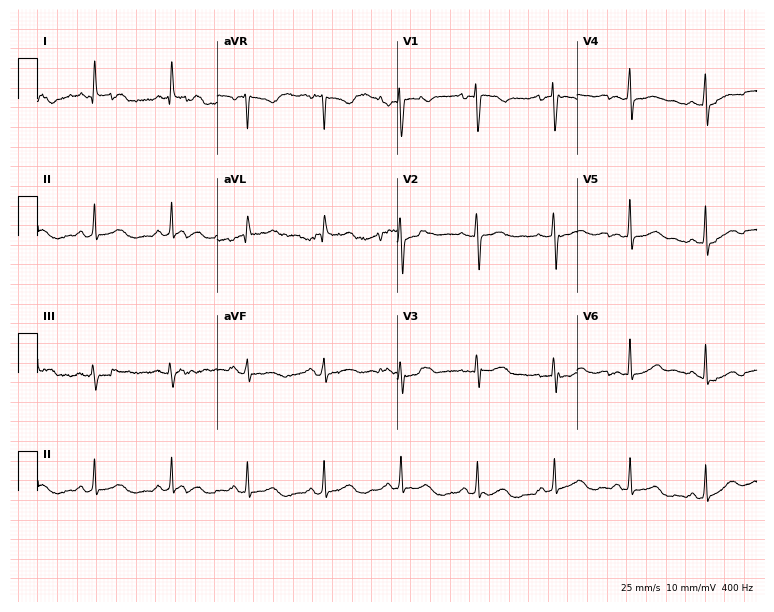
ECG (7.3-second recording at 400 Hz) — a woman, 59 years old. Labelled as a normal ECG.